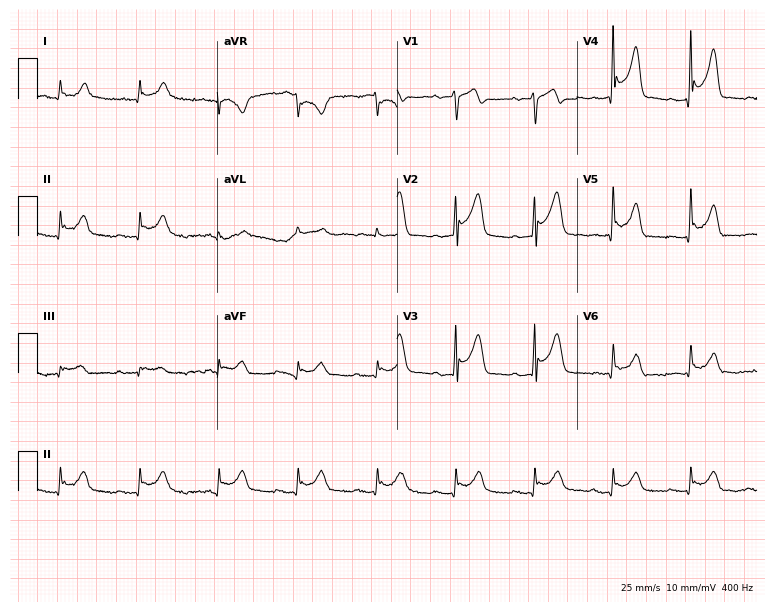
ECG — a man, 79 years old. Screened for six findings — first-degree AV block, right bundle branch block, left bundle branch block, sinus bradycardia, atrial fibrillation, sinus tachycardia — none is recorded.